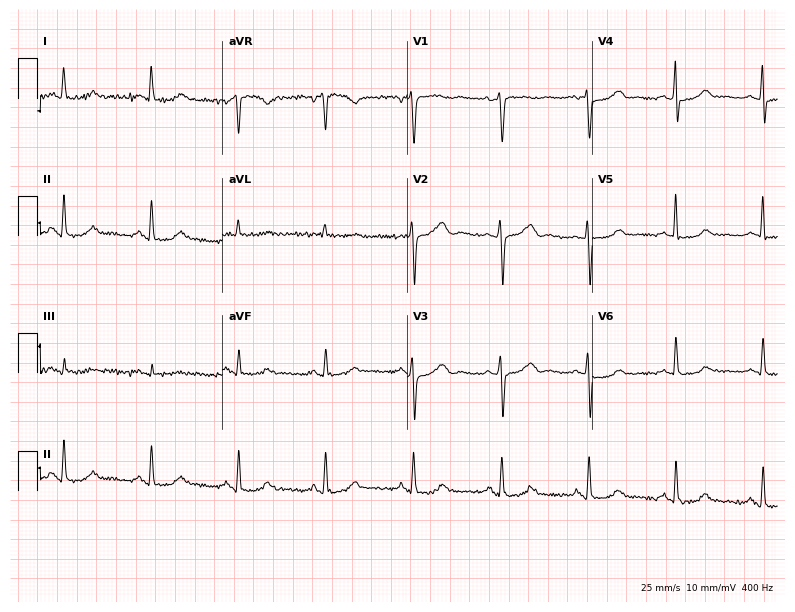
Standard 12-lead ECG recorded from a female, 59 years old (7.5-second recording at 400 Hz). None of these six findings is recorded: first-degree AV block, right bundle branch block, left bundle branch block, sinus bradycardia, atrial fibrillation, sinus tachycardia.